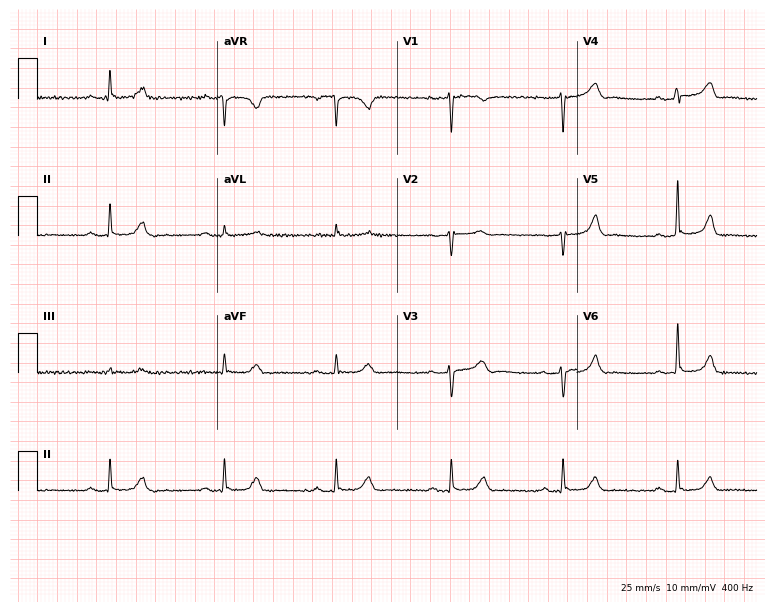
Standard 12-lead ECG recorded from a female, 55 years old. None of these six findings is recorded: first-degree AV block, right bundle branch block, left bundle branch block, sinus bradycardia, atrial fibrillation, sinus tachycardia.